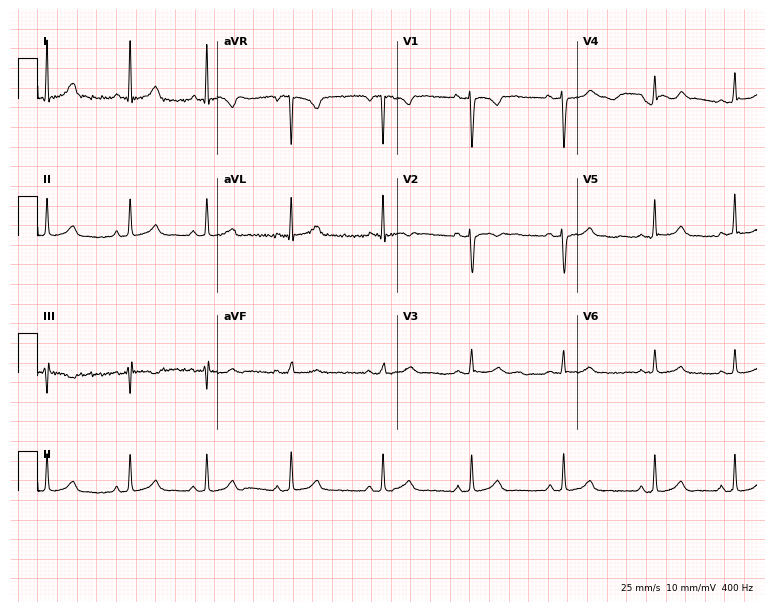
Electrocardiogram (7.3-second recording at 400 Hz), a female patient, 25 years old. Overall reading on record: normal ECG.